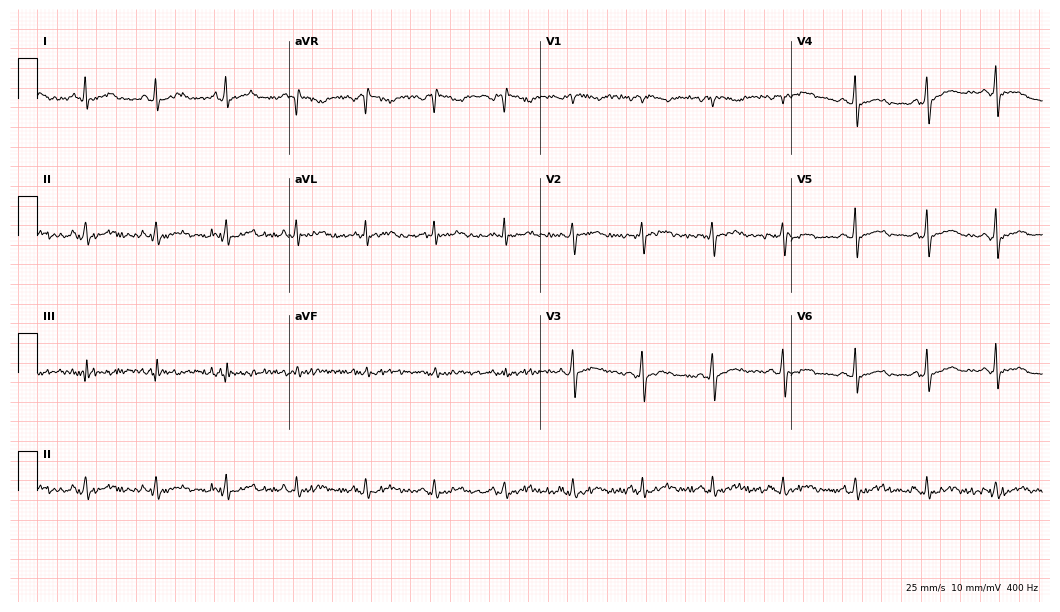
Resting 12-lead electrocardiogram (10.2-second recording at 400 Hz). Patient: a 42-year-old female. Read as a normal ECG.